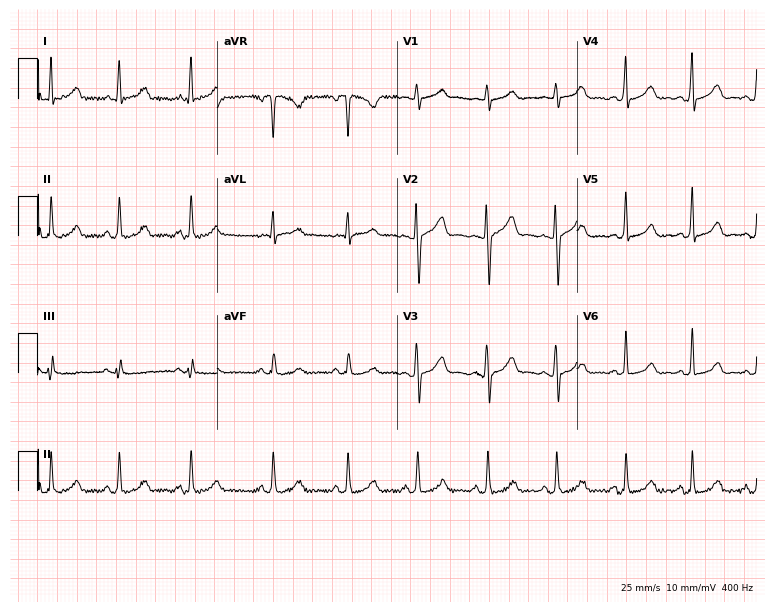
Standard 12-lead ECG recorded from a female, 34 years old (7.3-second recording at 400 Hz). None of these six findings is recorded: first-degree AV block, right bundle branch block, left bundle branch block, sinus bradycardia, atrial fibrillation, sinus tachycardia. Other findings, if any, are not listed.